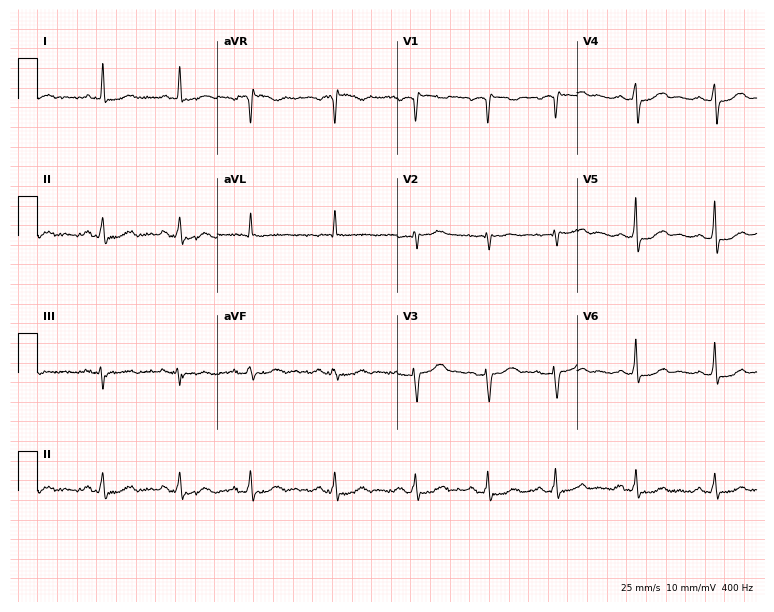
Electrocardiogram, a 74-year-old man. Overall reading on record: normal ECG.